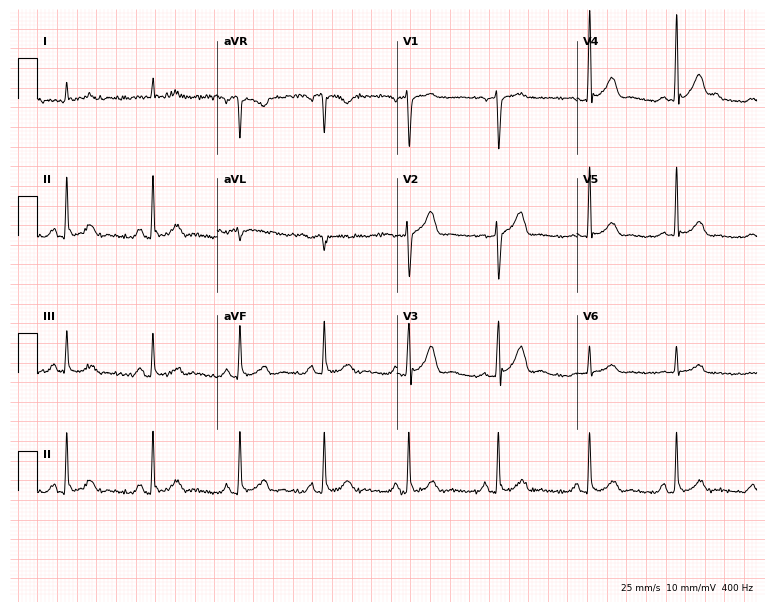
12-lead ECG from a 49-year-old male patient. Labelled as a normal ECG.